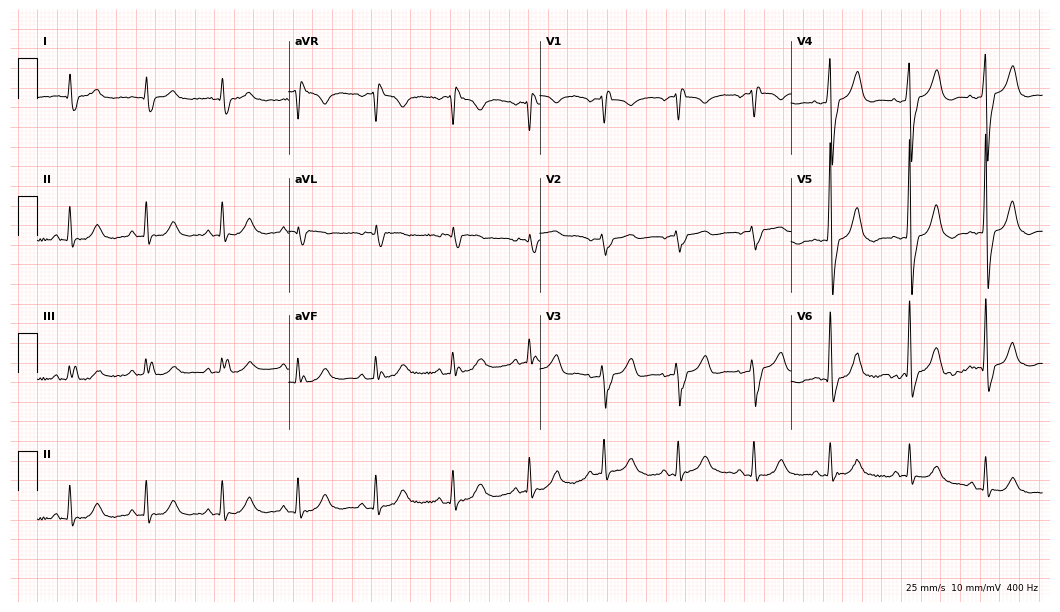
12-lead ECG from a man, 77 years old. Findings include right bundle branch block.